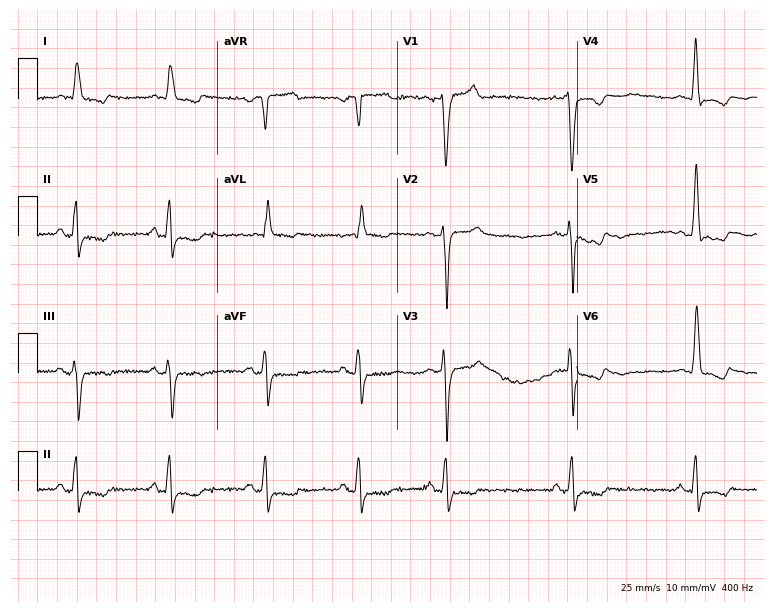
Electrocardiogram (7.3-second recording at 400 Hz), a male, 85 years old. Interpretation includes left bundle branch block.